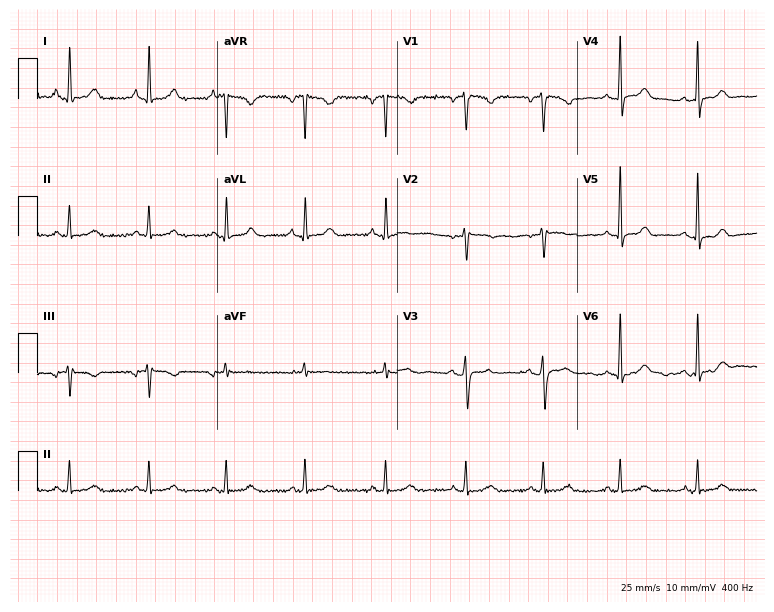
12-lead ECG from a female patient, 63 years old (7.3-second recording at 400 Hz). Recorded interpretation: within normal limits.